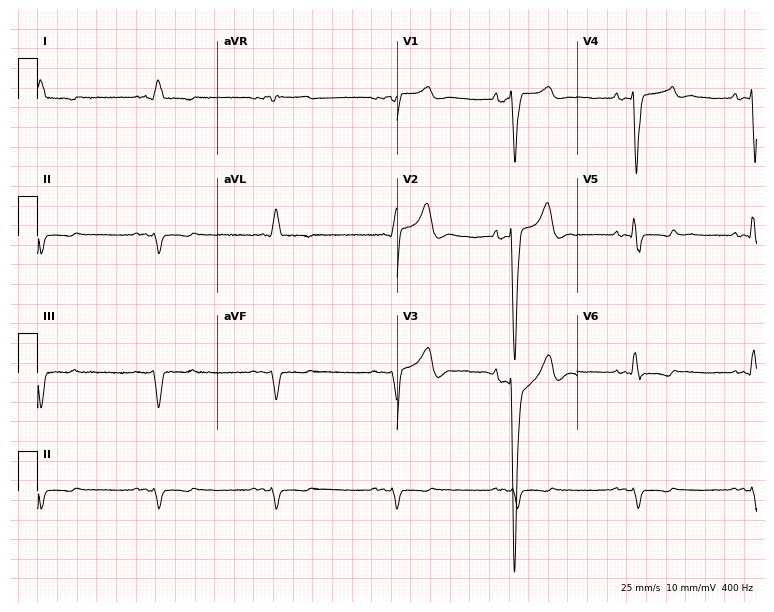
12-lead ECG from a male patient, 71 years old (7.3-second recording at 400 Hz). No first-degree AV block, right bundle branch block (RBBB), left bundle branch block (LBBB), sinus bradycardia, atrial fibrillation (AF) or sinus tachycardia recorded for this tracing. Only these six findings were labelled.